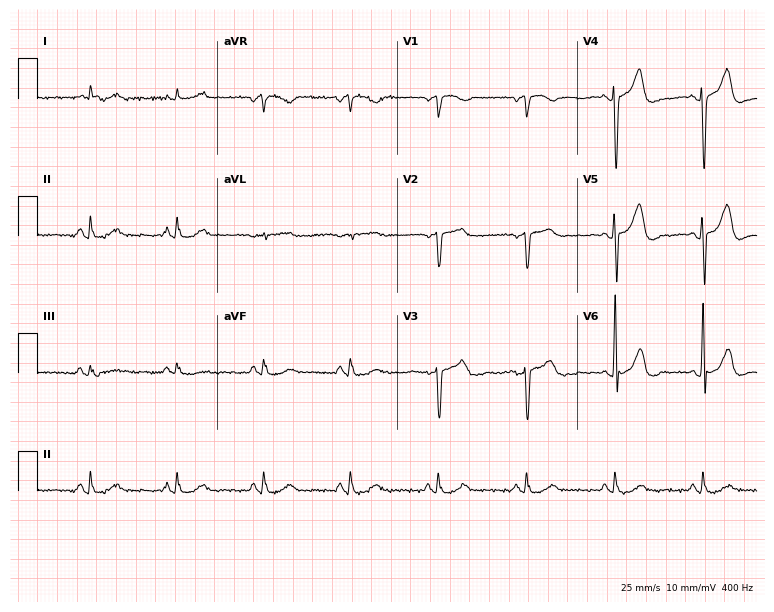
Electrocardiogram (7.3-second recording at 400 Hz), a 79-year-old man. Overall reading on record: normal ECG.